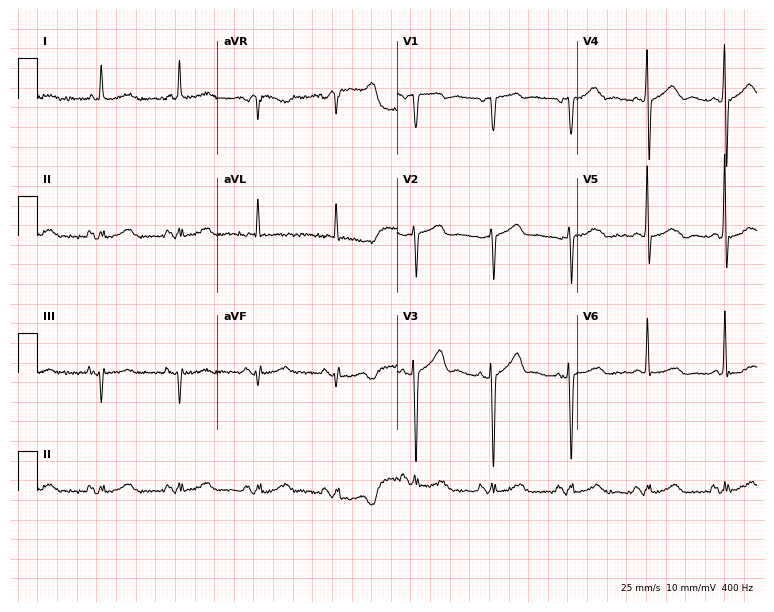
ECG (7.3-second recording at 400 Hz) — a man, 80 years old. Screened for six findings — first-degree AV block, right bundle branch block, left bundle branch block, sinus bradycardia, atrial fibrillation, sinus tachycardia — none is recorded. Only these six findings were labelled.